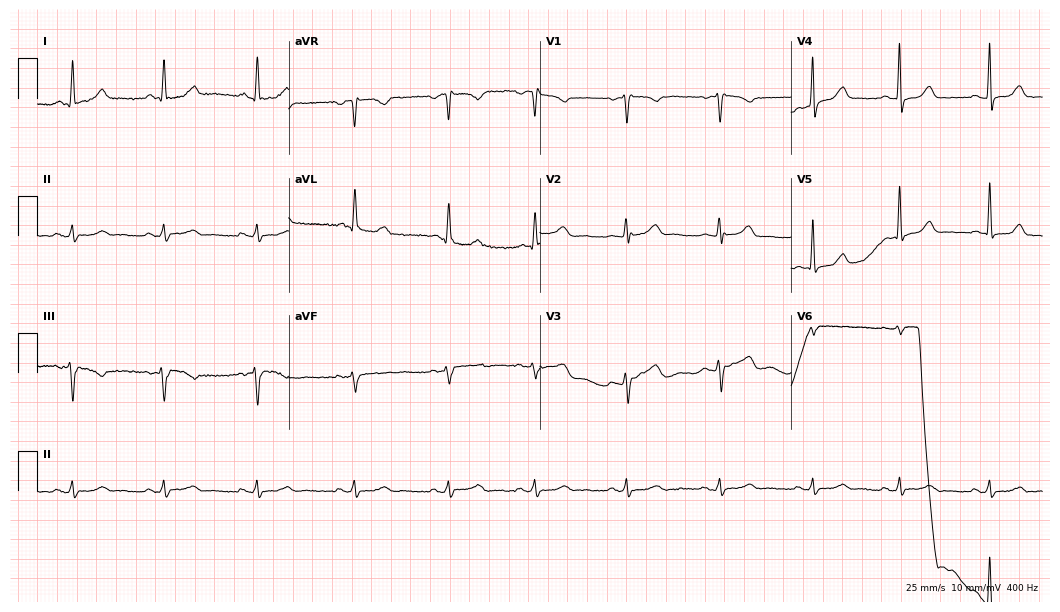
ECG (10.2-second recording at 400 Hz) — a female patient, 50 years old. Labelled as a normal ECG.